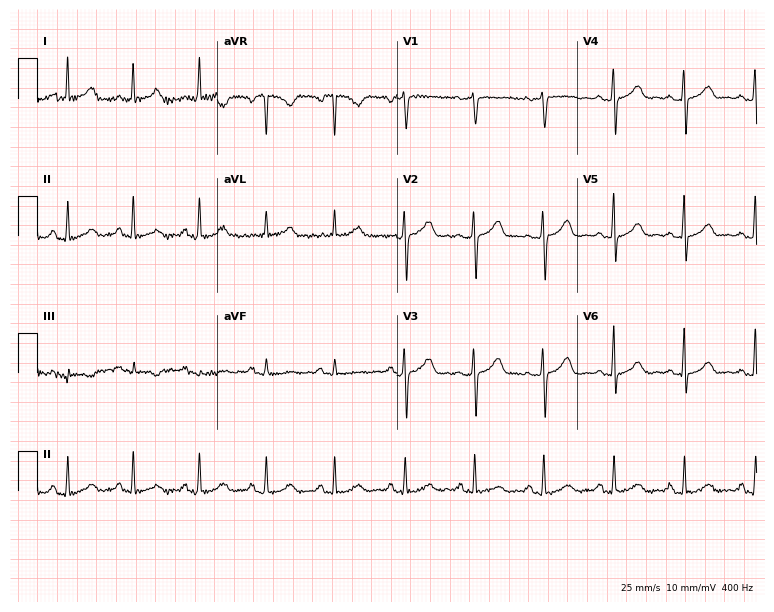
Resting 12-lead electrocardiogram. Patient: a female, 54 years old. Read as a normal ECG.